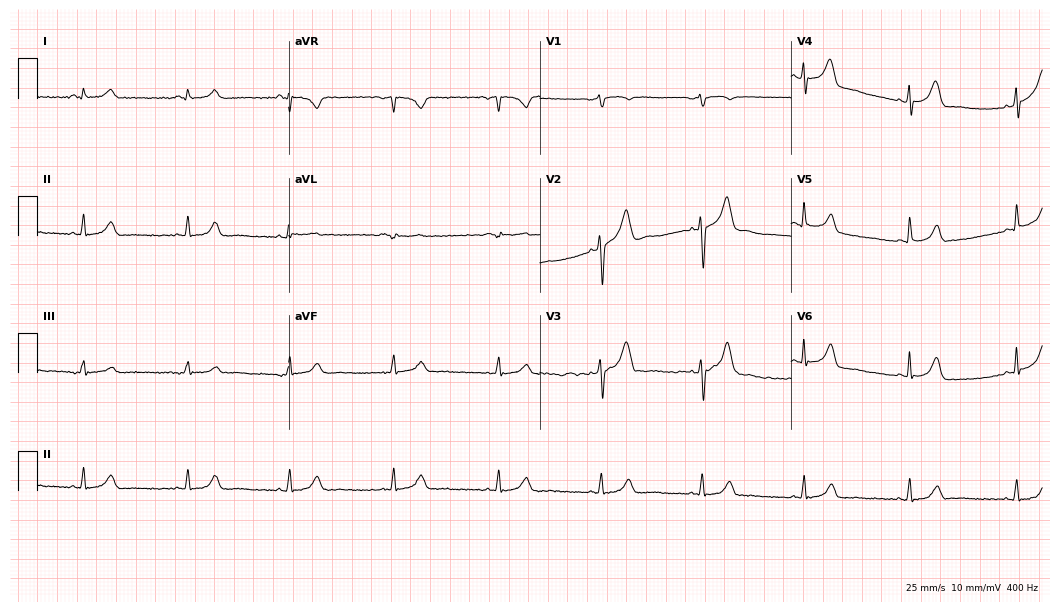
12-lead ECG (10.2-second recording at 400 Hz) from a 52-year-old female patient. Screened for six findings — first-degree AV block, right bundle branch block, left bundle branch block, sinus bradycardia, atrial fibrillation, sinus tachycardia — none is recorded. Only these six findings were labelled.